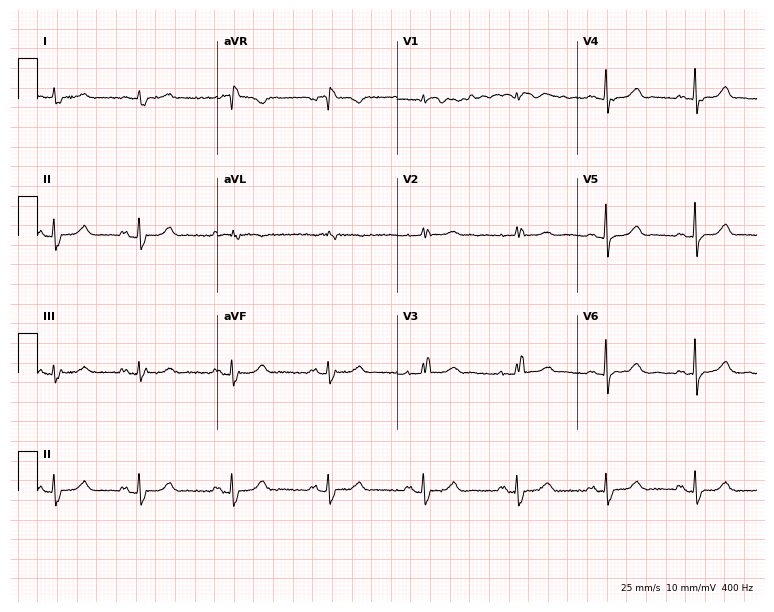
Resting 12-lead electrocardiogram. Patient: a female, 79 years old. The tracing shows right bundle branch block.